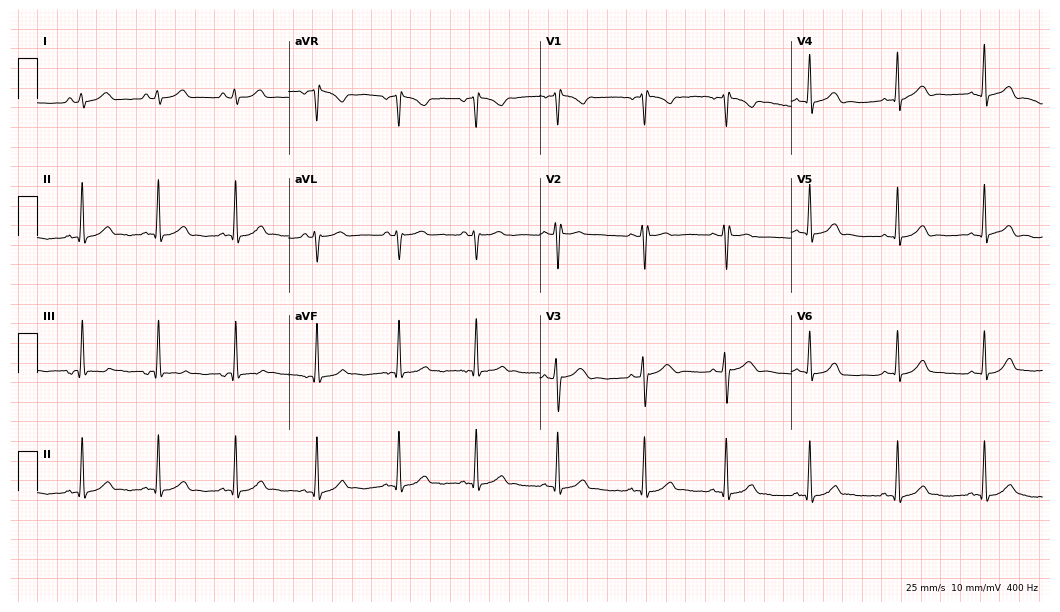
ECG — a female patient, 19 years old. Screened for six findings — first-degree AV block, right bundle branch block, left bundle branch block, sinus bradycardia, atrial fibrillation, sinus tachycardia — none is recorded. Other findings, if any, are not listed.